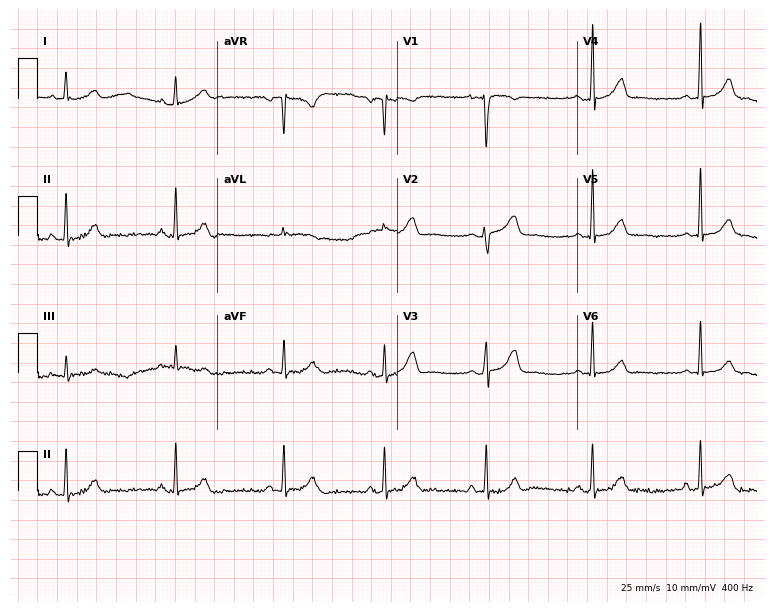
12-lead ECG (7.3-second recording at 400 Hz) from a female patient, 42 years old. Labelled as a normal ECG.